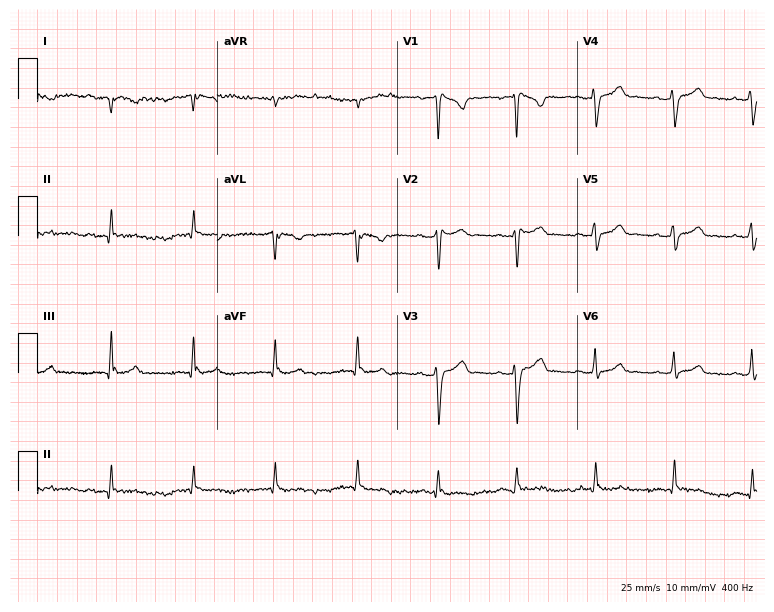
ECG — a 31-year-old male patient. Screened for six findings — first-degree AV block, right bundle branch block, left bundle branch block, sinus bradycardia, atrial fibrillation, sinus tachycardia — none is recorded. Only these six findings were labelled.